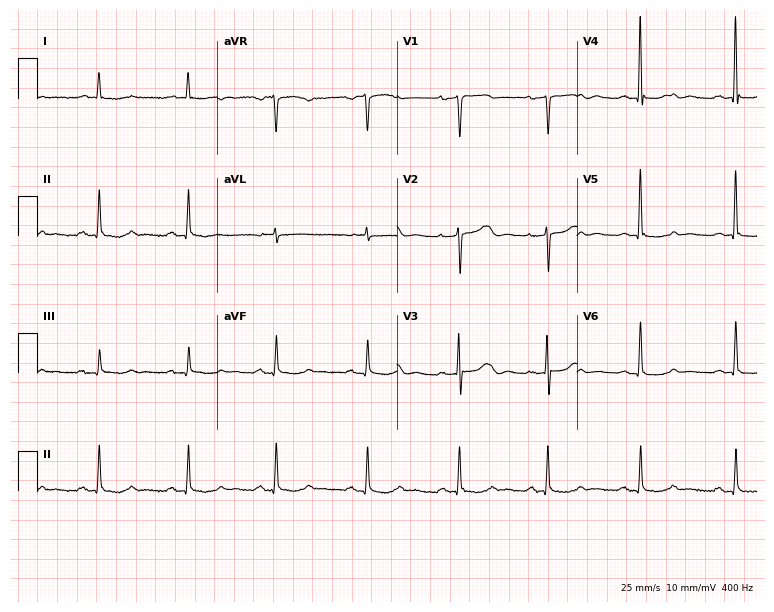
Electrocardiogram (7.3-second recording at 400 Hz), a female patient, 69 years old. Overall reading on record: normal ECG.